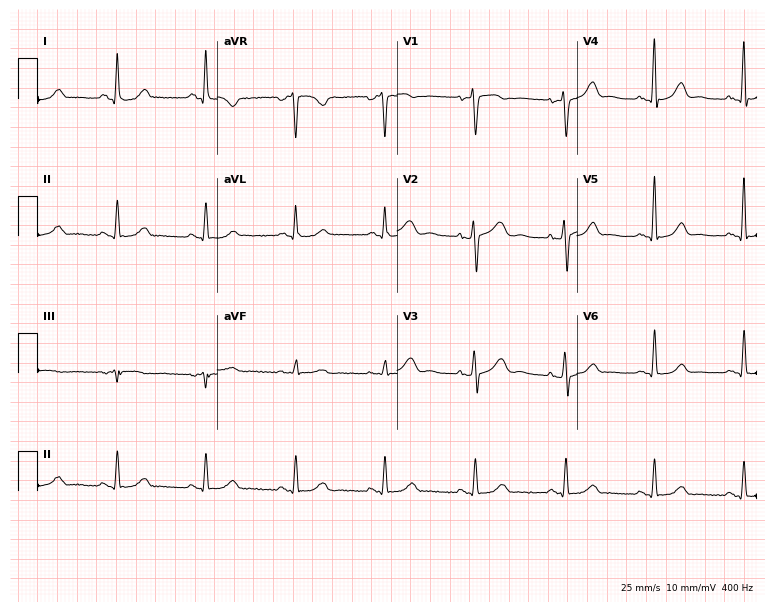
Resting 12-lead electrocardiogram. Patient: a 48-year-old female. None of these six findings is recorded: first-degree AV block, right bundle branch block, left bundle branch block, sinus bradycardia, atrial fibrillation, sinus tachycardia.